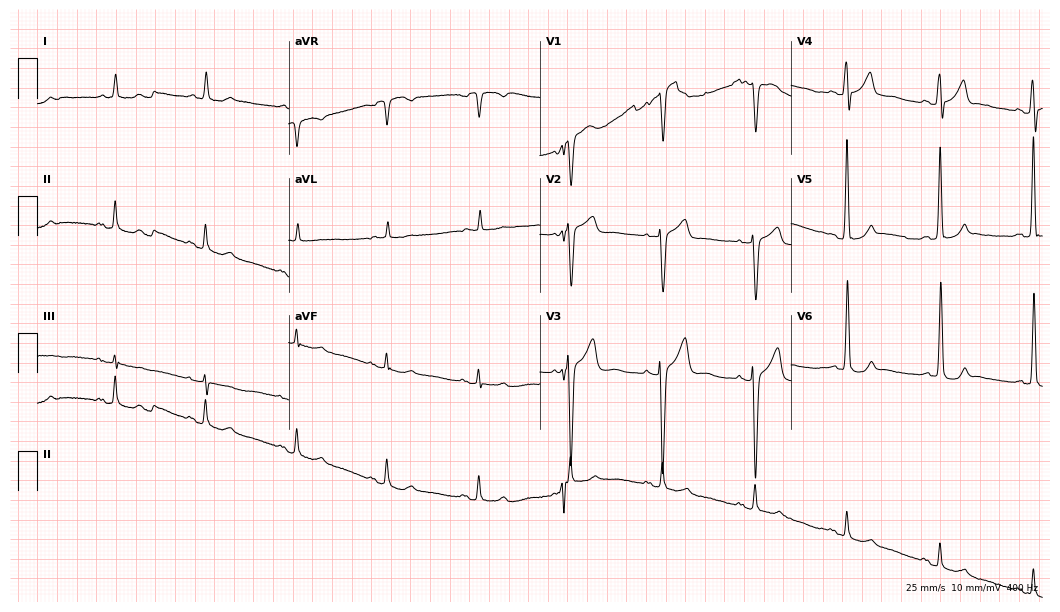
12-lead ECG from a 70-year-old man (10.2-second recording at 400 Hz). No first-degree AV block, right bundle branch block, left bundle branch block, sinus bradycardia, atrial fibrillation or sinus tachycardia recorded for this tracing.